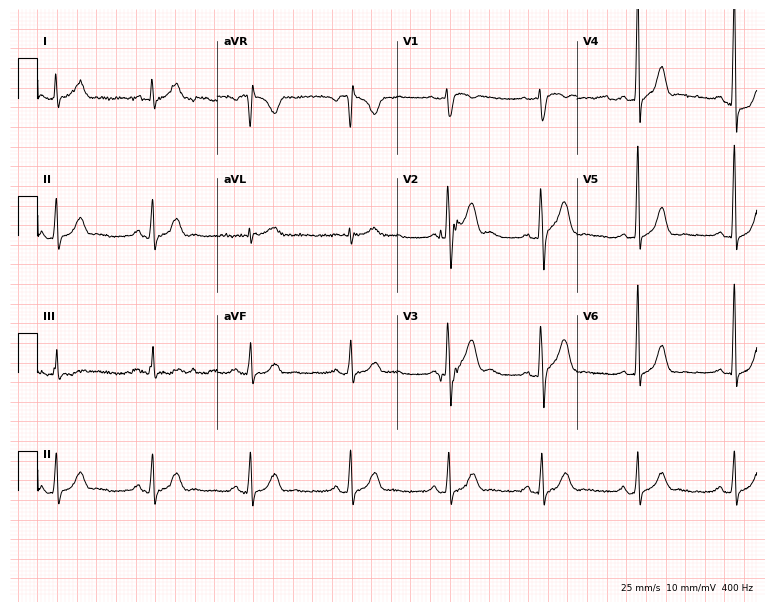
12-lead ECG from a male, 40 years old. Recorded interpretation: within normal limits.